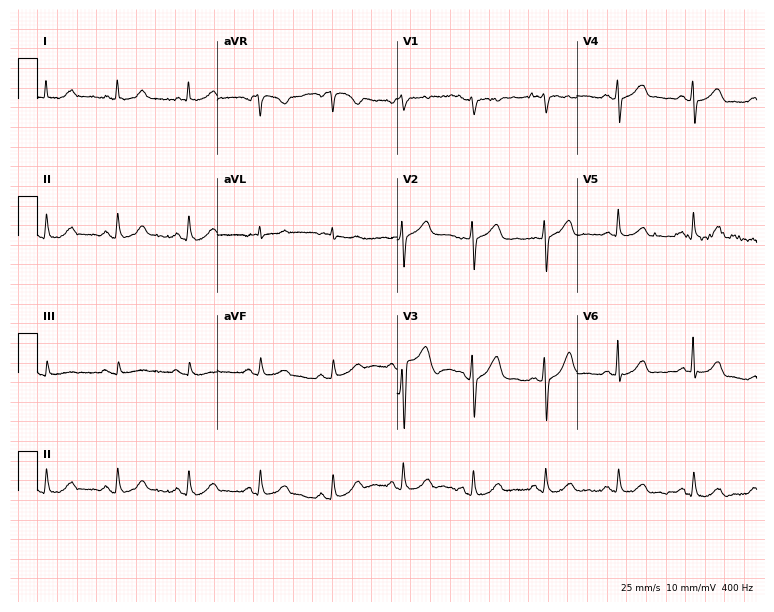
ECG — a 74-year-old female. Labelled as a normal ECG.